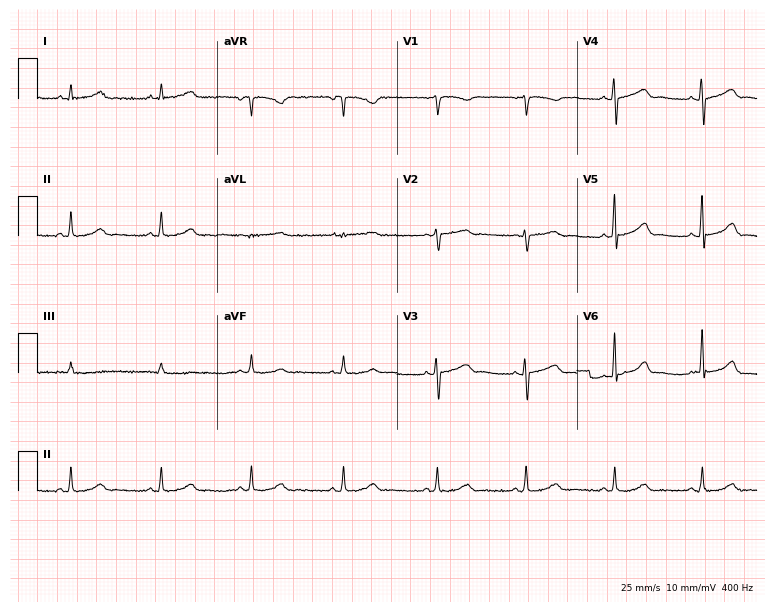
12-lead ECG from a 47-year-old female patient (7.3-second recording at 400 Hz). Recorded interpretation: within normal limits.